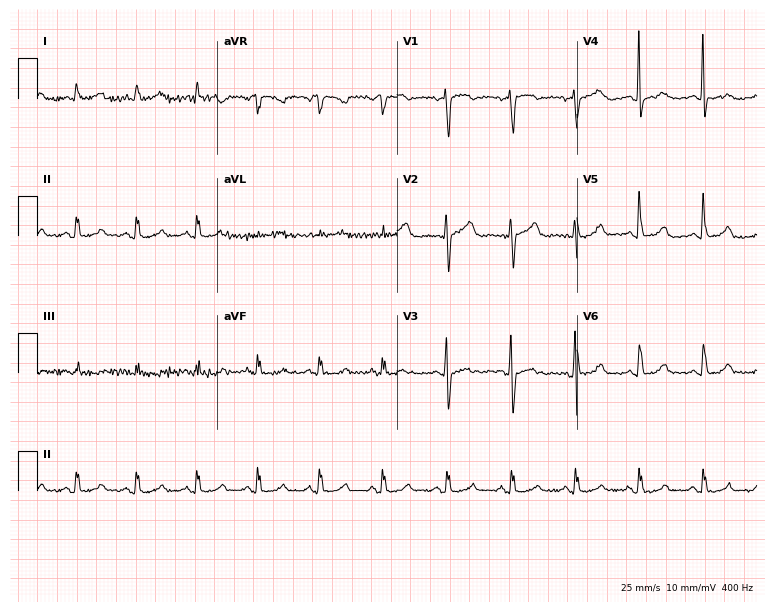
ECG (7.3-second recording at 400 Hz) — a female patient, 53 years old. Labelled as a normal ECG.